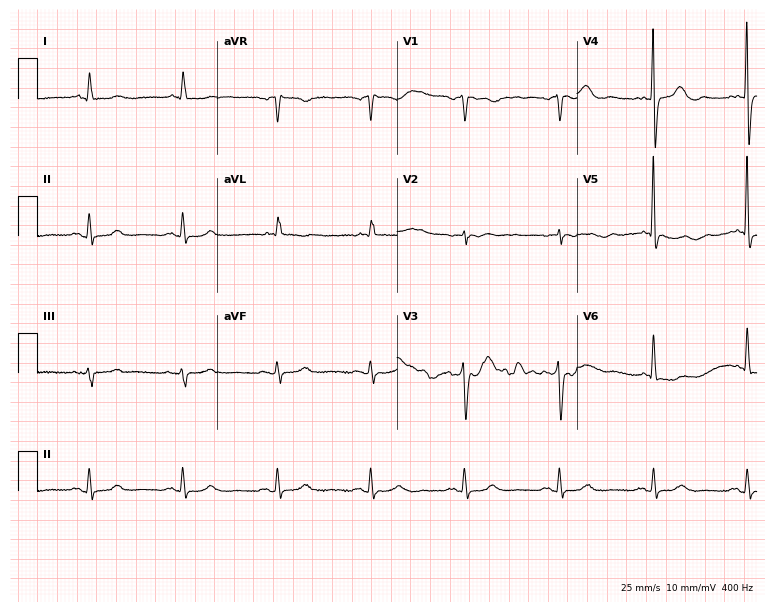
Standard 12-lead ECG recorded from a man, 75 years old (7.3-second recording at 400 Hz). None of these six findings is recorded: first-degree AV block, right bundle branch block, left bundle branch block, sinus bradycardia, atrial fibrillation, sinus tachycardia. Only these six findings were labelled.